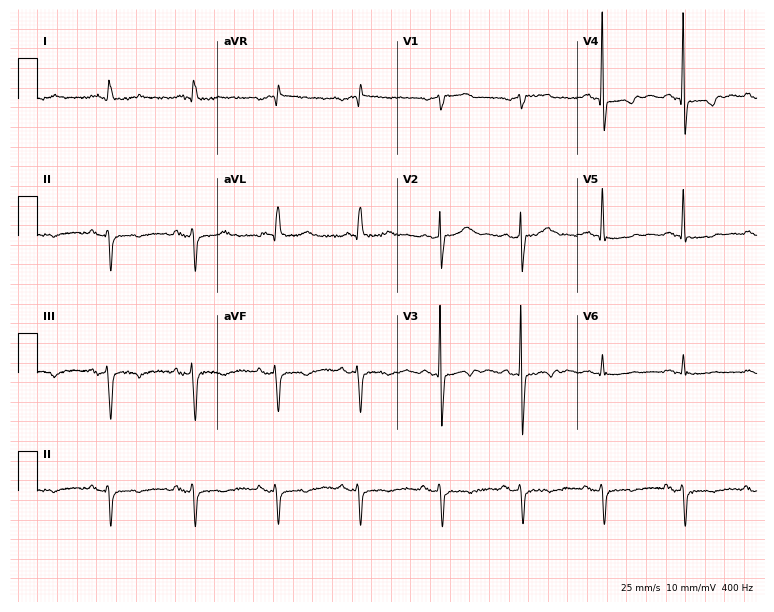
12-lead ECG from a male, 76 years old (7.3-second recording at 400 Hz). No first-degree AV block, right bundle branch block (RBBB), left bundle branch block (LBBB), sinus bradycardia, atrial fibrillation (AF) or sinus tachycardia recorded for this tracing. Findings outside these six are not listed.